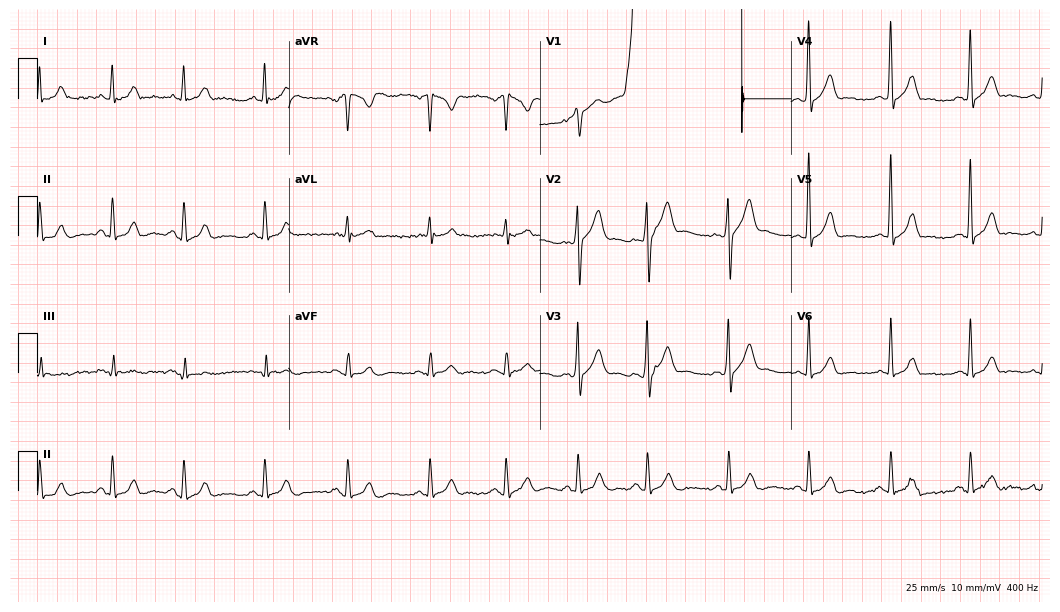
ECG (10.2-second recording at 400 Hz) — a male, 29 years old. Labelled as a normal ECG.